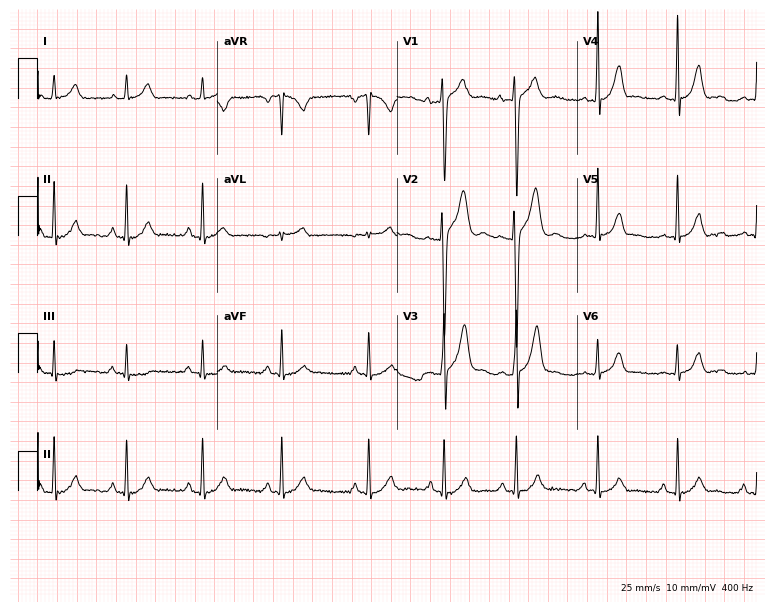
12-lead ECG from a 20-year-old male patient. No first-degree AV block, right bundle branch block, left bundle branch block, sinus bradycardia, atrial fibrillation or sinus tachycardia recorded for this tracing. Other findings, if any, are not listed.